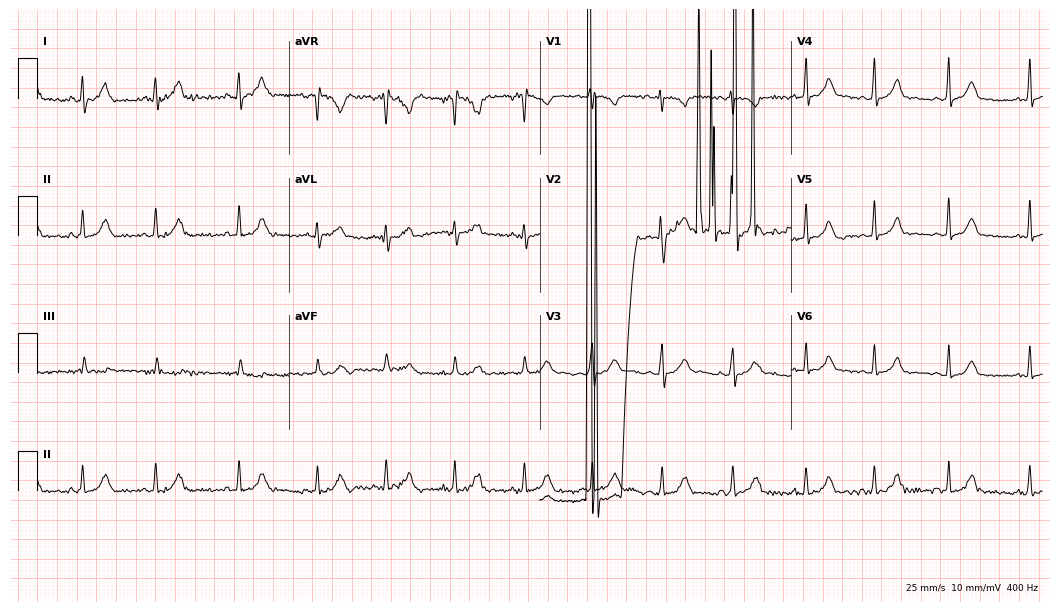
Resting 12-lead electrocardiogram (10.2-second recording at 400 Hz). Patient: a female, 22 years old. None of these six findings is recorded: first-degree AV block, right bundle branch block, left bundle branch block, sinus bradycardia, atrial fibrillation, sinus tachycardia. Findings outside these six are not listed.